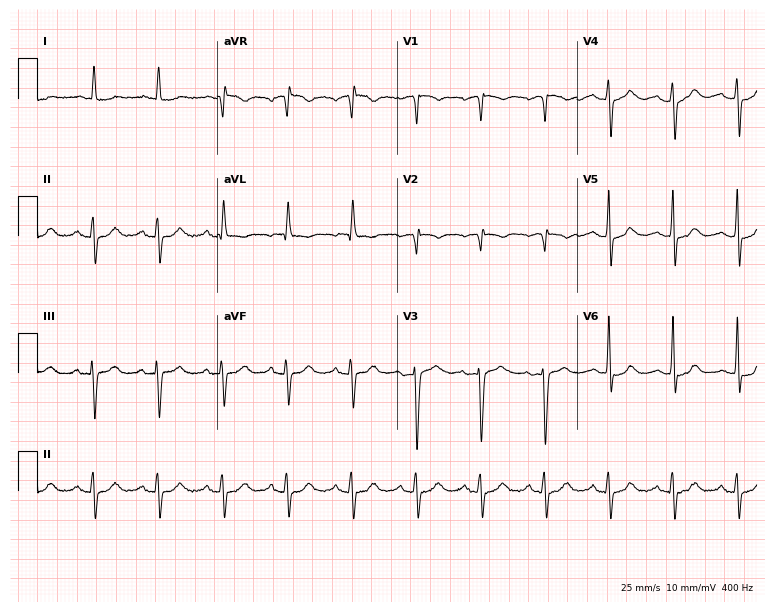
12-lead ECG (7.3-second recording at 400 Hz) from an 80-year-old woman. Screened for six findings — first-degree AV block, right bundle branch block, left bundle branch block, sinus bradycardia, atrial fibrillation, sinus tachycardia — none is recorded.